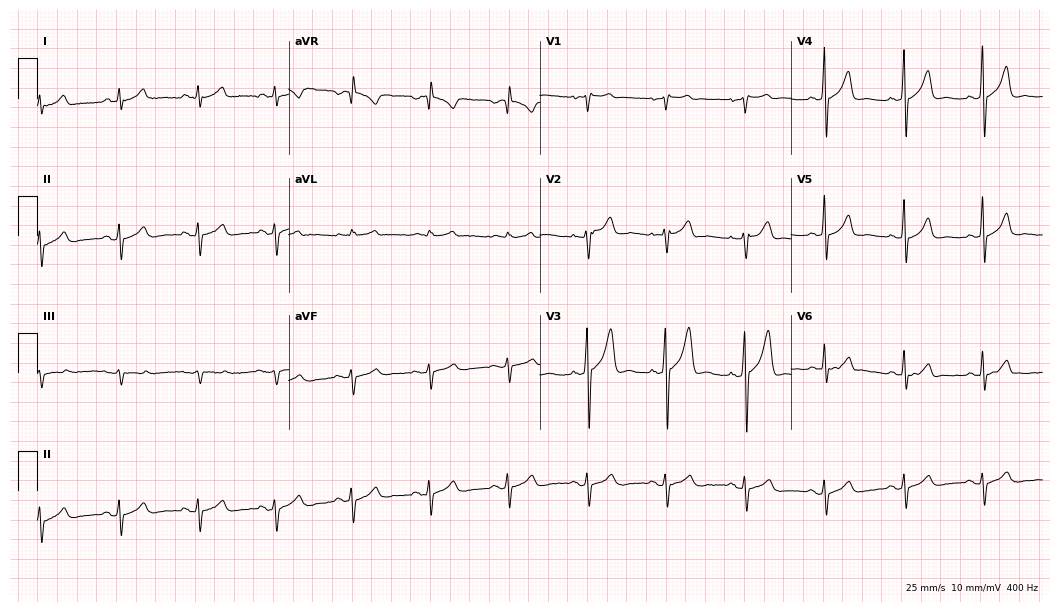
Electrocardiogram, a male, 44 years old. Of the six screened findings (first-degree AV block, right bundle branch block, left bundle branch block, sinus bradycardia, atrial fibrillation, sinus tachycardia), none is recorded.